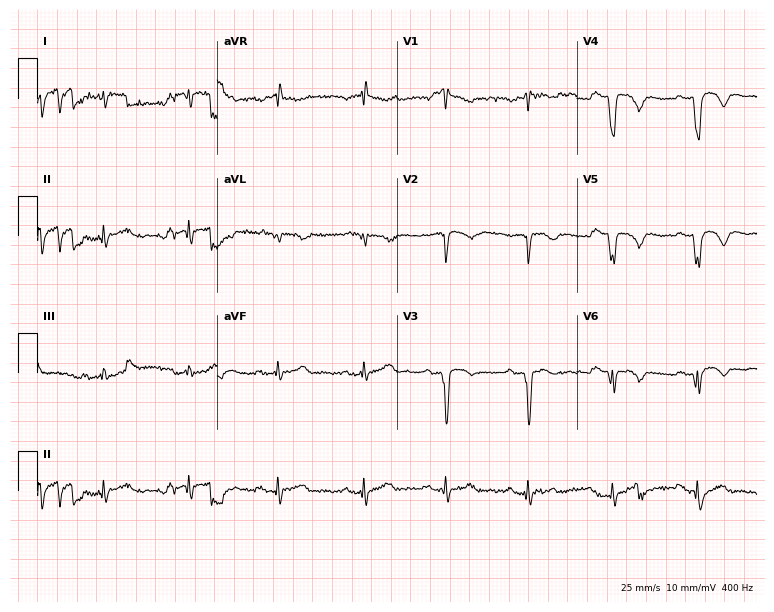
ECG (7.3-second recording at 400 Hz) — a man, 60 years old. Screened for six findings — first-degree AV block, right bundle branch block, left bundle branch block, sinus bradycardia, atrial fibrillation, sinus tachycardia — none is recorded. Other findings, if any, are not listed.